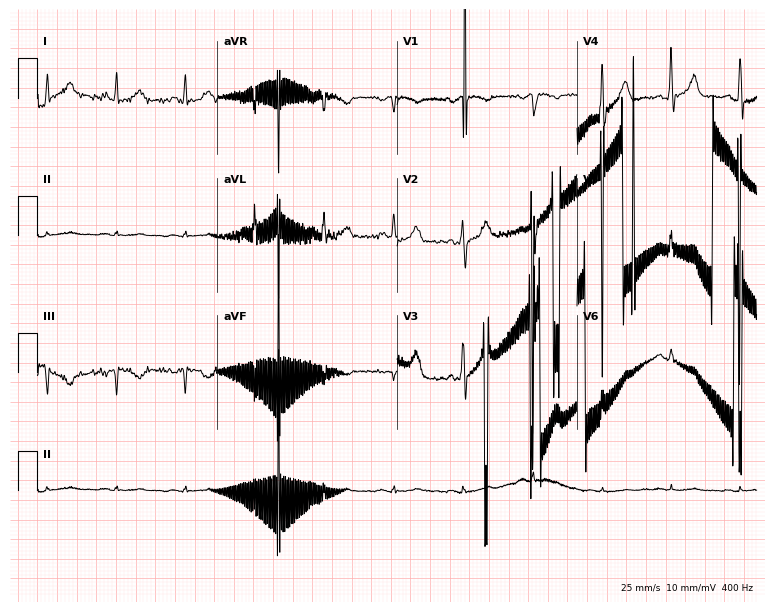
12-lead ECG from a male, 70 years old. Screened for six findings — first-degree AV block, right bundle branch block, left bundle branch block, sinus bradycardia, atrial fibrillation, sinus tachycardia — none is recorded. Other findings, if any, are not listed.